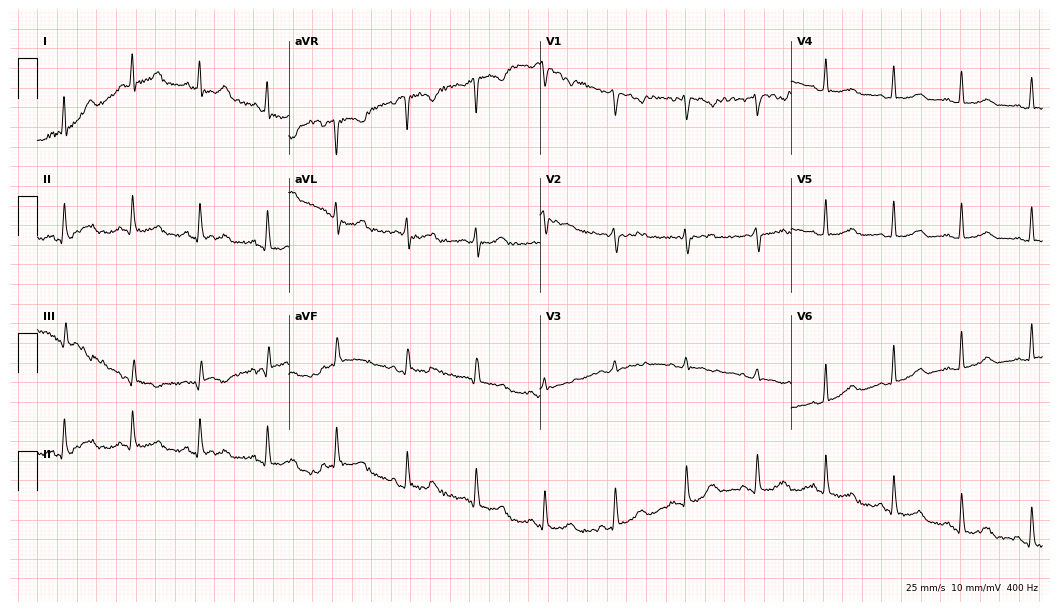
12-lead ECG from a woman, 30 years old. Recorded interpretation: within normal limits.